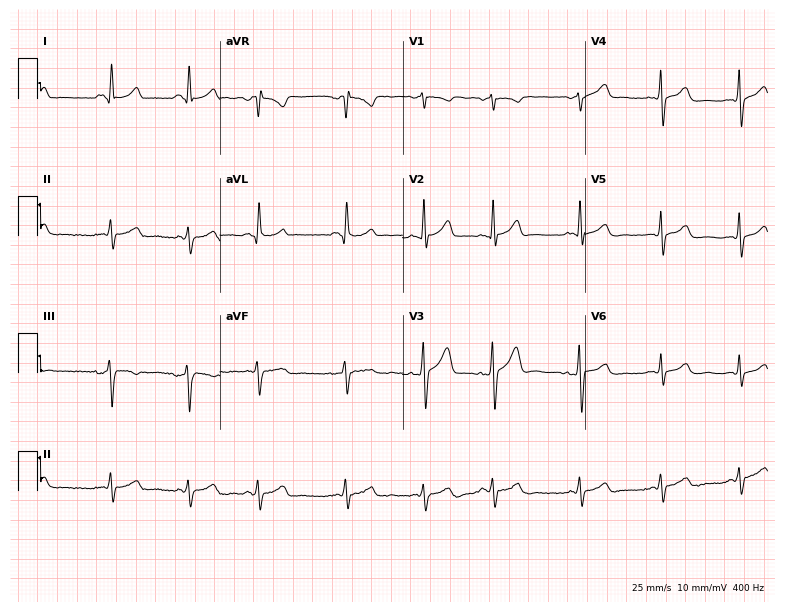
Resting 12-lead electrocardiogram. Patient: a 38-year-old female. None of these six findings is recorded: first-degree AV block, right bundle branch block, left bundle branch block, sinus bradycardia, atrial fibrillation, sinus tachycardia.